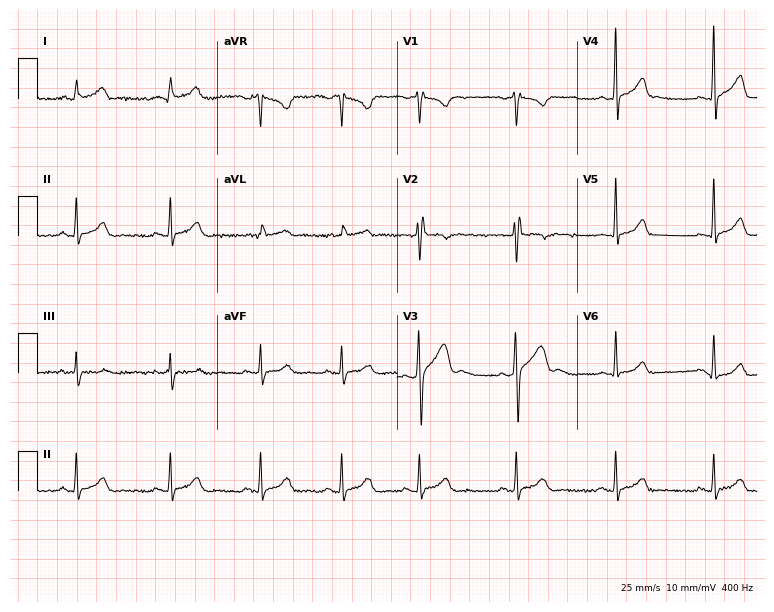
Electrocardiogram, an 18-year-old male patient. Of the six screened findings (first-degree AV block, right bundle branch block (RBBB), left bundle branch block (LBBB), sinus bradycardia, atrial fibrillation (AF), sinus tachycardia), none is recorded. Findings outside these six are not listed.